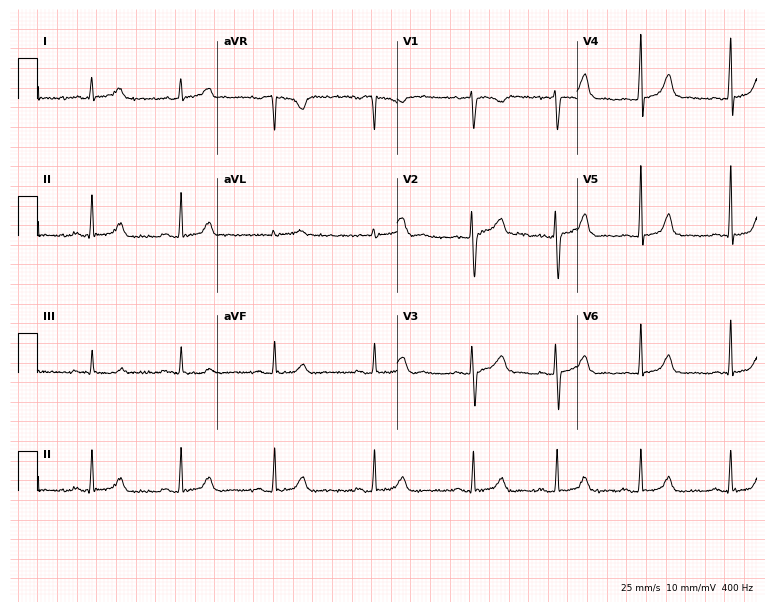
Standard 12-lead ECG recorded from a woman, 27 years old (7.3-second recording at 400 Hz). None of these six findings is recorded: first-degree AV block, right bundle branch block, left bundle branch block, sinus bradycardia, atrial fibrillation, sinus tachycardia. Findings outside these six are not listed.